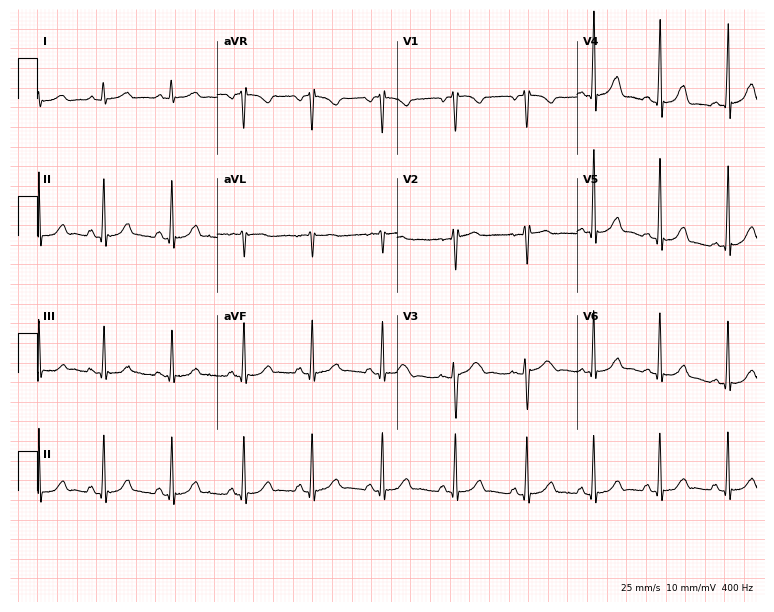
12-lead ECG from a 17-year-old female. No first-degree AV block, right bundle branch block (RBBB), left bundle branch block (LBBB), sinus bradycardia, atrial fibrillation (AF) or sinus tachycardia recorded for this tracing. Only these six findings were labelled.